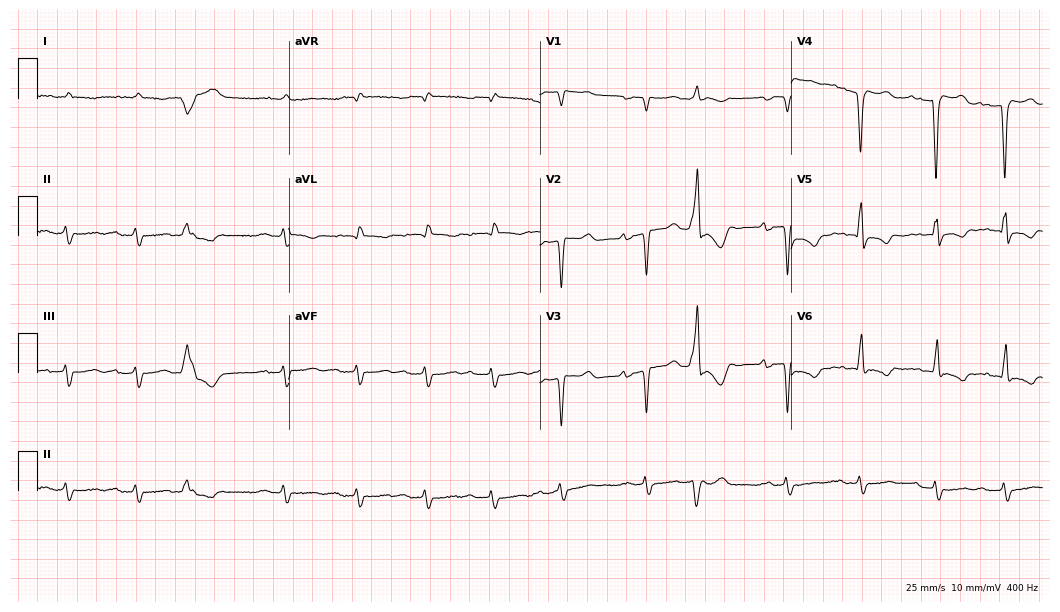
12-lead ECG from a 58-year-old male patient. No first-degree AV block, right bundle branch block, left bundle branch block, sinus bradycardia, atrial fibrillation or sinus tachycardia recorded for this tracing.